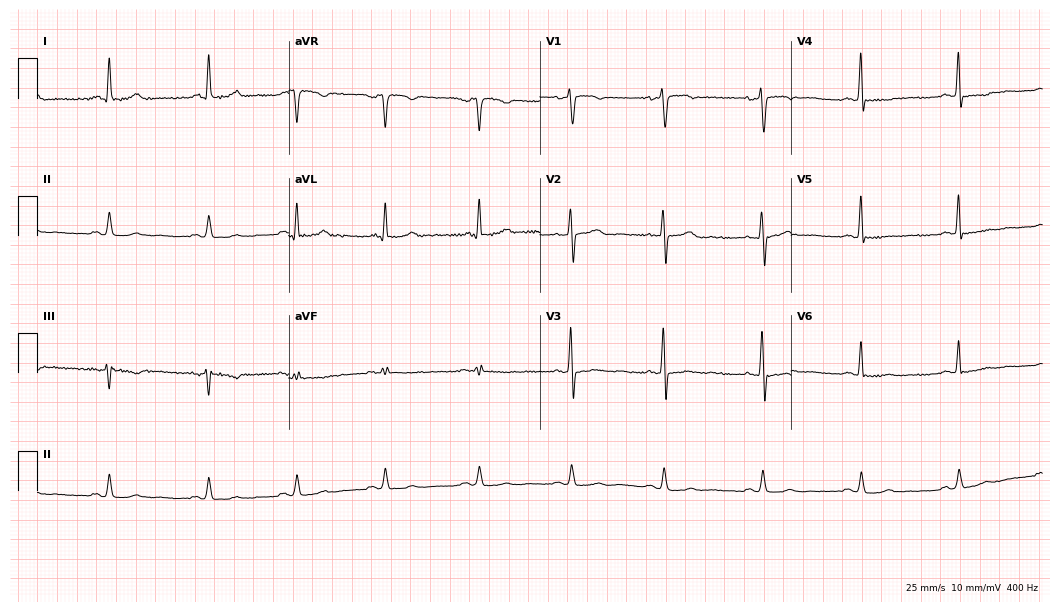
Resting 12-lead electrocardiogram. Patient: a 55-year-old woman. Read as a normal ECG.